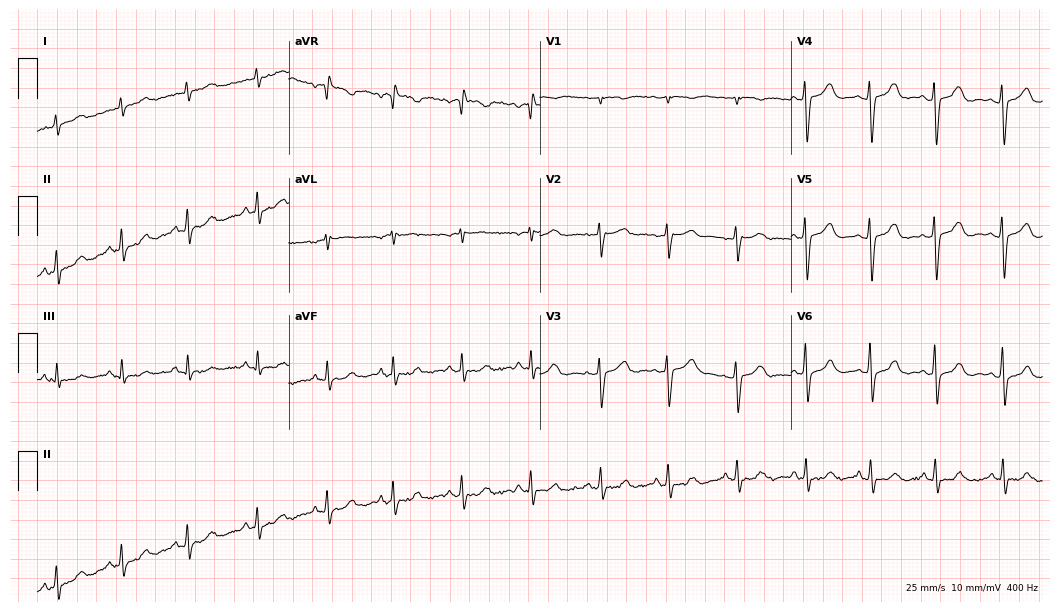
ECG (10.2-second recording at 400 Hz) — a 21-year-old female. Screened for six findings — first-degree AV block, right bundle branch block (RBBB), left bundle branch block (LBBB), sinus bradycardia, atrial fibrillation (AF), sinus tachycardia — none is recorded.